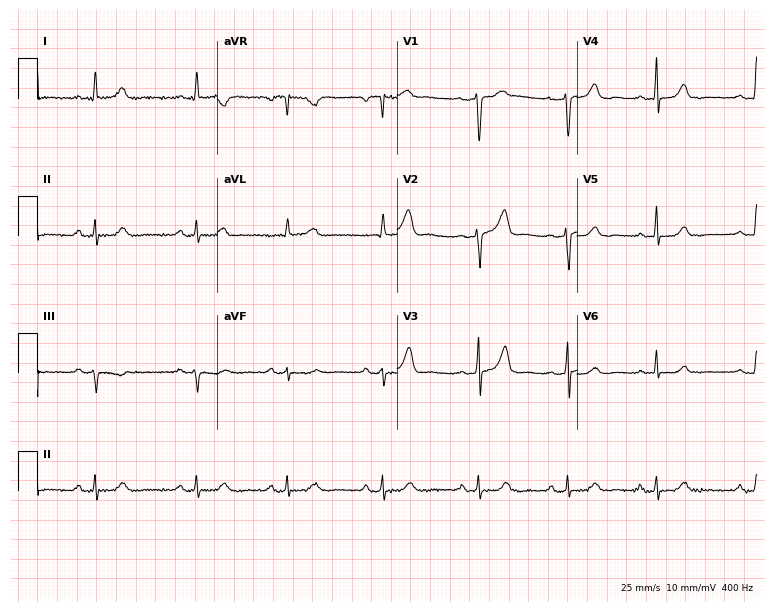
ECG — a woman, 41 years old. Screened for six findings — first-degree AV block, right bundle branch block (RBBB), left bundle branch block (LBBB), sinus bradycardia, atrial fibrillation (AF), sinus tachycardia — none is recorded. Only these six findings were labelled.